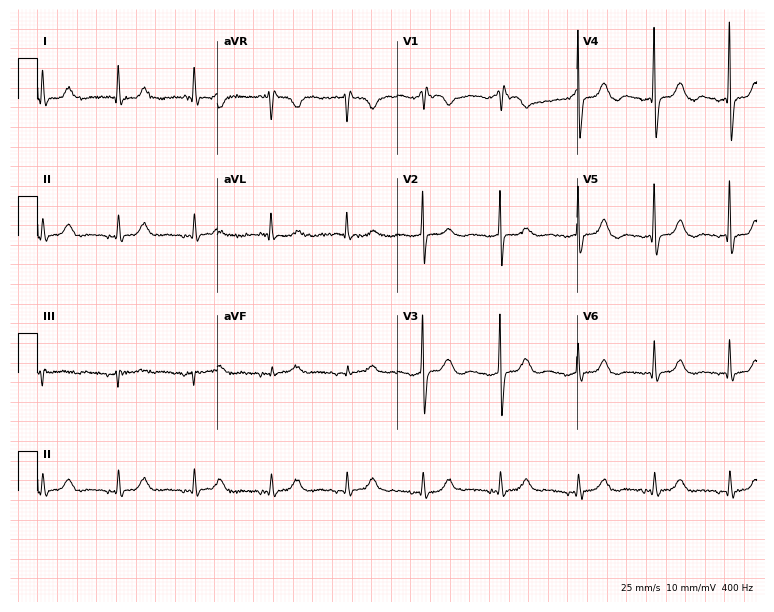
12-lead ECG from a 78-year-old female. No first-degree AV block, right bundle branch block, left bundle branch block, sinus bradycardia, atrial fibrillation or sinus tachycardia recorded for this tracing. Findings outside these six are not listed.